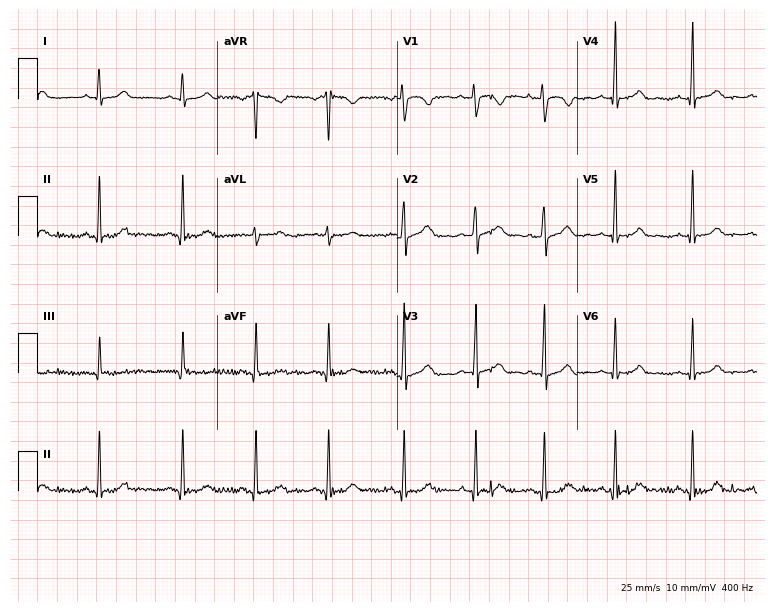
ECG — a 20-year-old female. Labelled as a normal ECG.